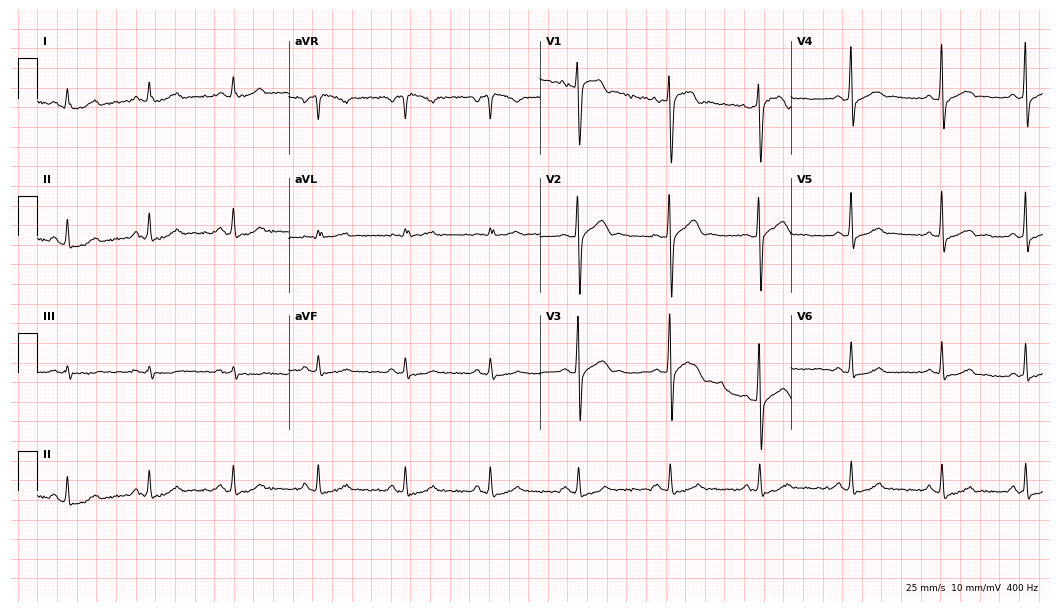
12-lead ECG from a male patient, 35 years old (10.2-second recording at 400 Hz). Recorded interpretation: within normal limits.